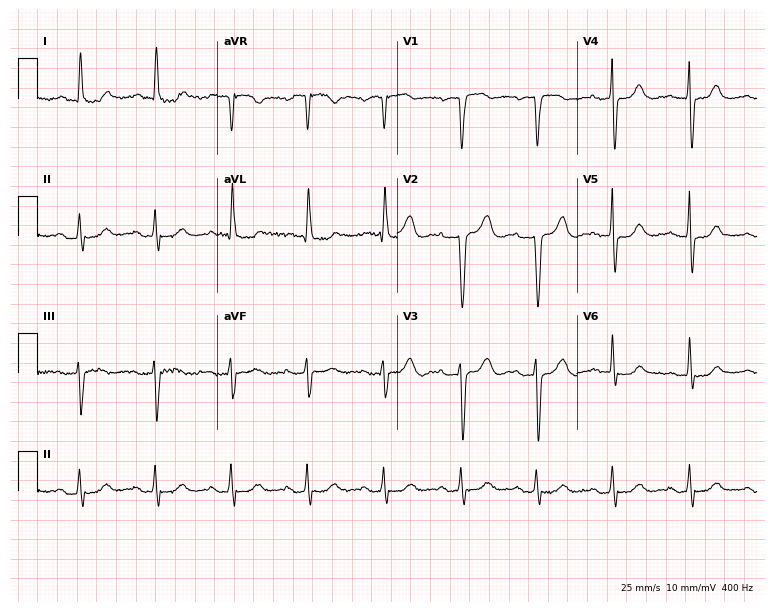
12-lead ECG from a female, 66 years old (7.3-second recording at 400 Hz). No first-degree AV block, right bundle branch block, left bundle branch block, sinus bradycardia, atrial fibrillation or sinus tachycardia recorded for this tracing. Only these six findings were labelled.